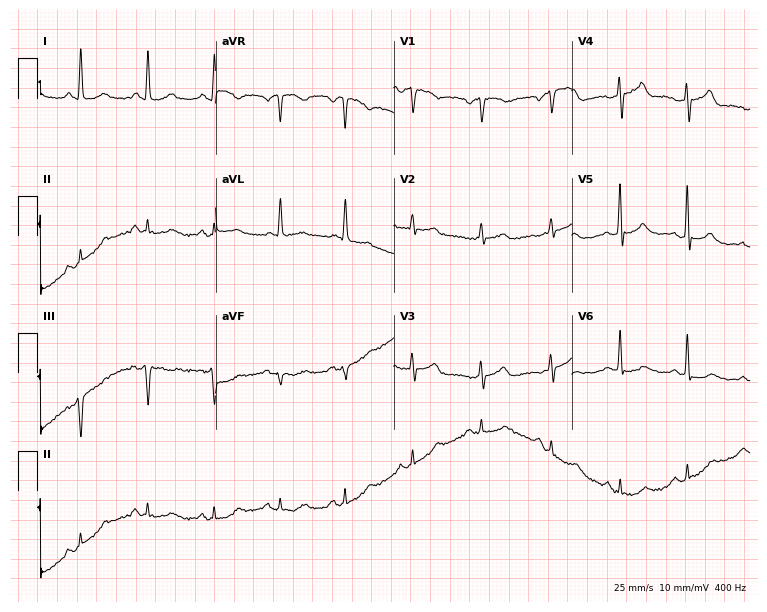
12-lead ECG from a female, 79 years old. No first-degree AV block, right bundle branch block (RBBB), left bundle branch block (LBBB), sinus bradycardia, atrial fibrillation (AF) or sinus tachycardia recorded for this tracing. Only these six findings were labelled.